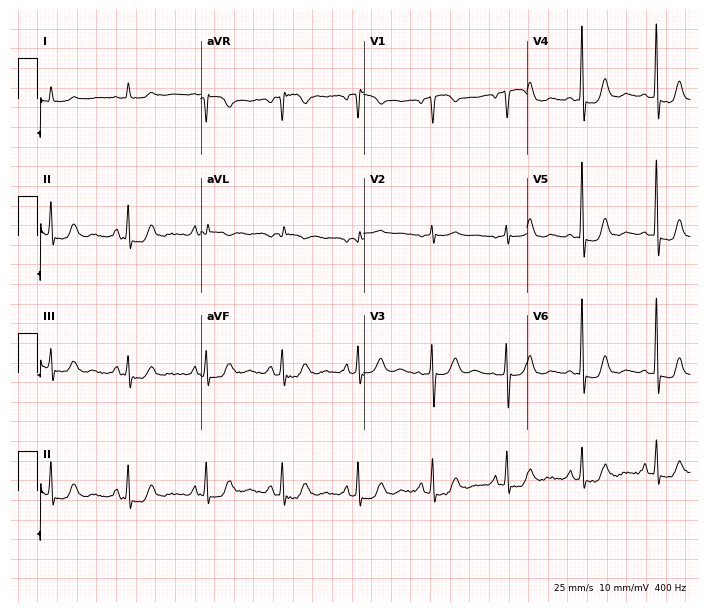
Resting 12-lead electrocardiogram (6.7-second recording at 400 Hz). Patient: a male, 80 years old. None of these six findings is recorded: first-degree AV block, right bundle branch block, left bundle branch block, sinus bradycardia, atrial fibrillation, sinus tachycardia. Only these six findings were labelled.